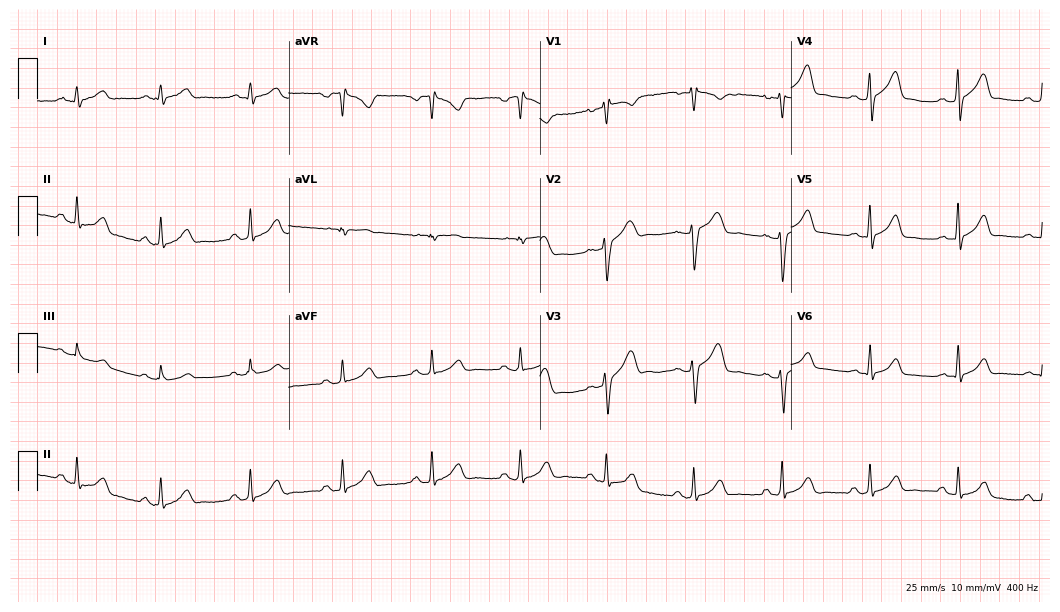
Electrocardiogram (10.2-second recording at 400 Hz), a man, 30 years old. Overall reading on record: normal ECG.